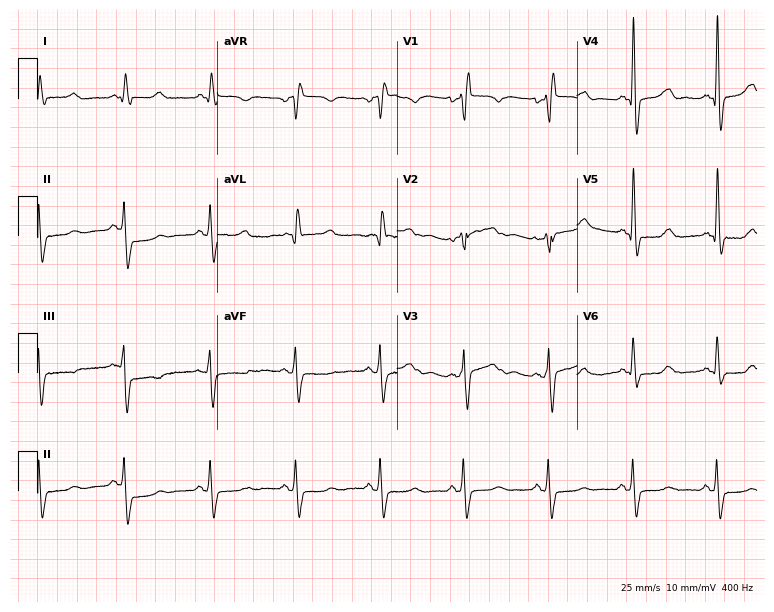
ECG — a 59-year-old female patient. Findings include right bundle branch block.